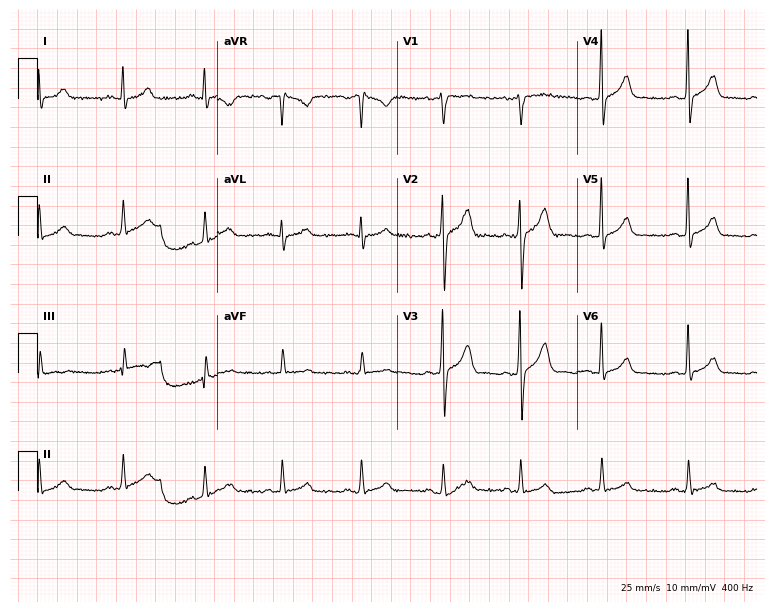
Electrocardiogram, a 28-year-old man. Overall reading on record: normal ECG.